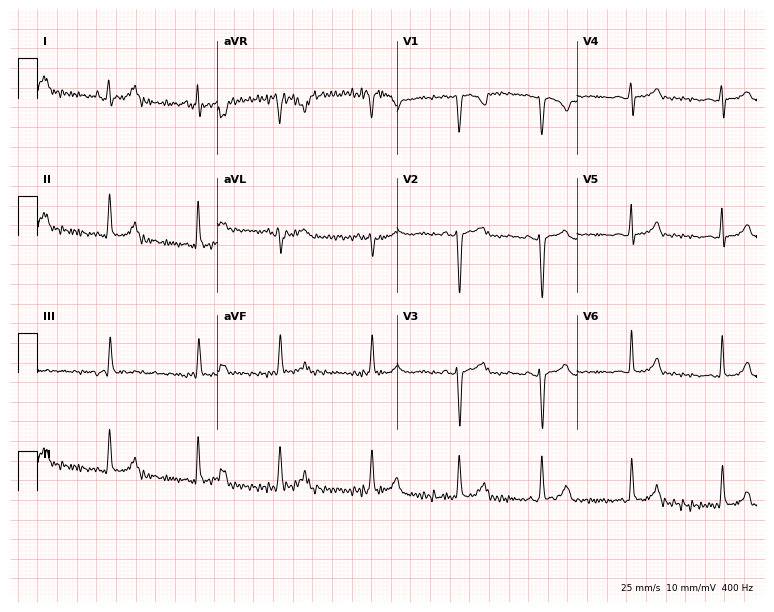
12-lead ECG (7.3-second recording at 400 Hz) from a 23-year-old woman. Screened for six findings — first-degree AV block, right bundle branch block, left bundle branch block, sinus bradycardia, atrial fibrillation, sinus tachycardia — none is recorded.